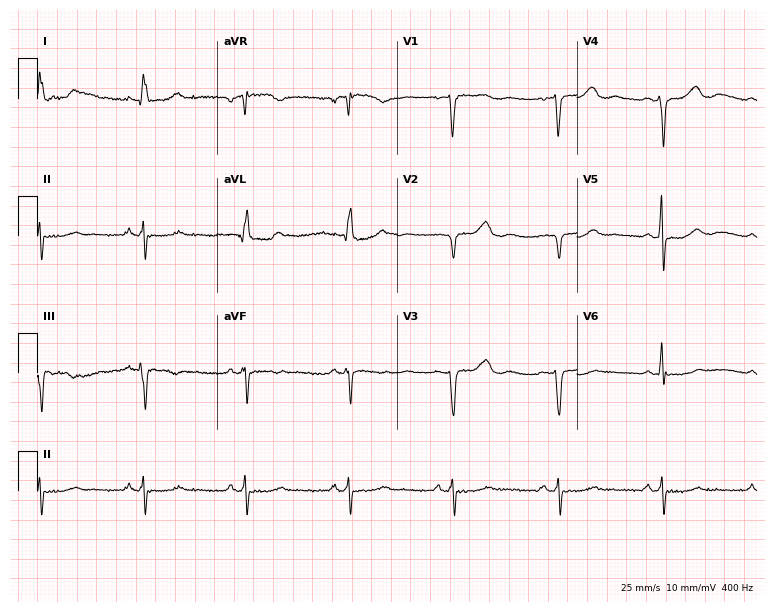
Resting 12-lead electrocardiogram. Patient: a 75-year-old female. None of these six findings is recorded: first-degree AV block, right bundle branch block, left bundle branch block, sinus bradycardia, atrial fibrillation, sinus tachycardia. Only these six findings were labelled.